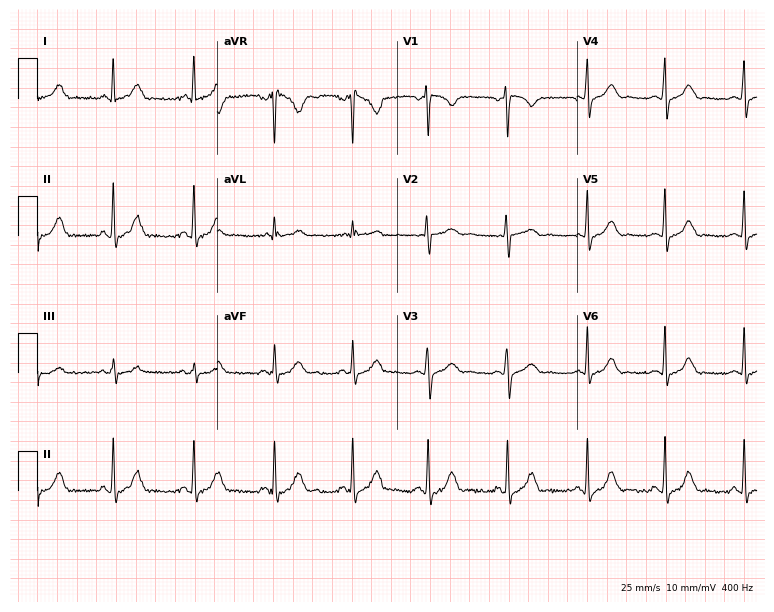
Resting 12-lead electrocardiogram. Patient: a 23-year-old woman. Read as a normal ECG.